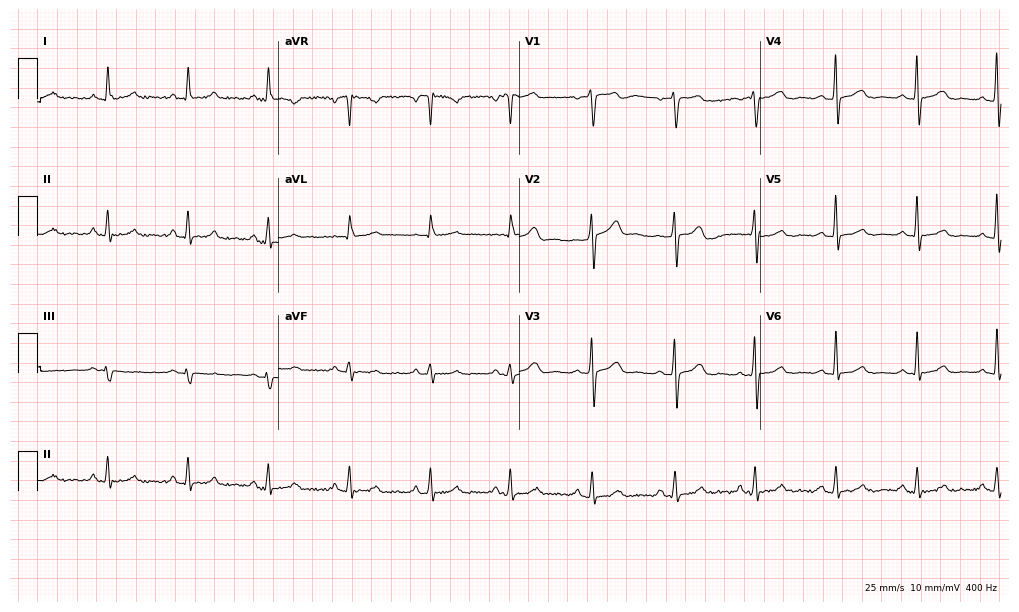
ECG — a 63-year-old female. Labelled as a normal ECG.